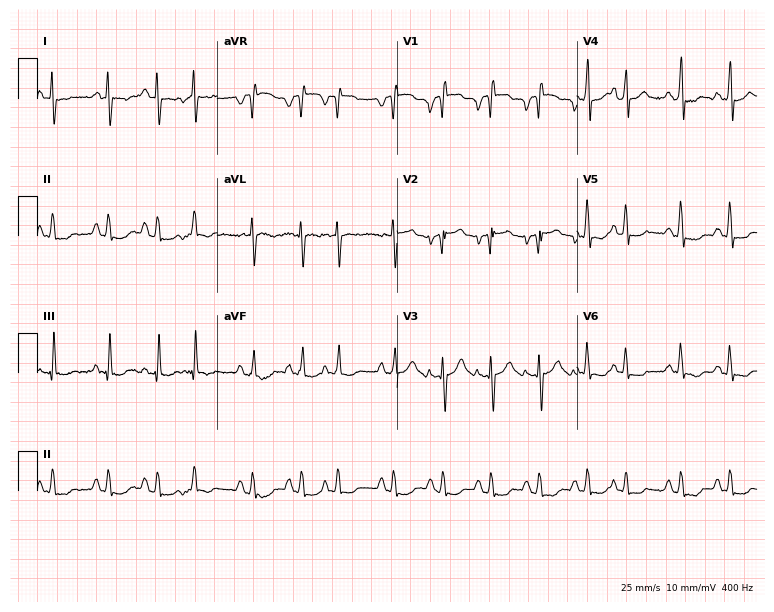
Resting 12-lead electrocardiogram (7.3-second recording at 400 Hz). Patient: a 65-year-old male. The tracing shows sinus tachycardia (a sinus rate of 100 beats per minute or more).